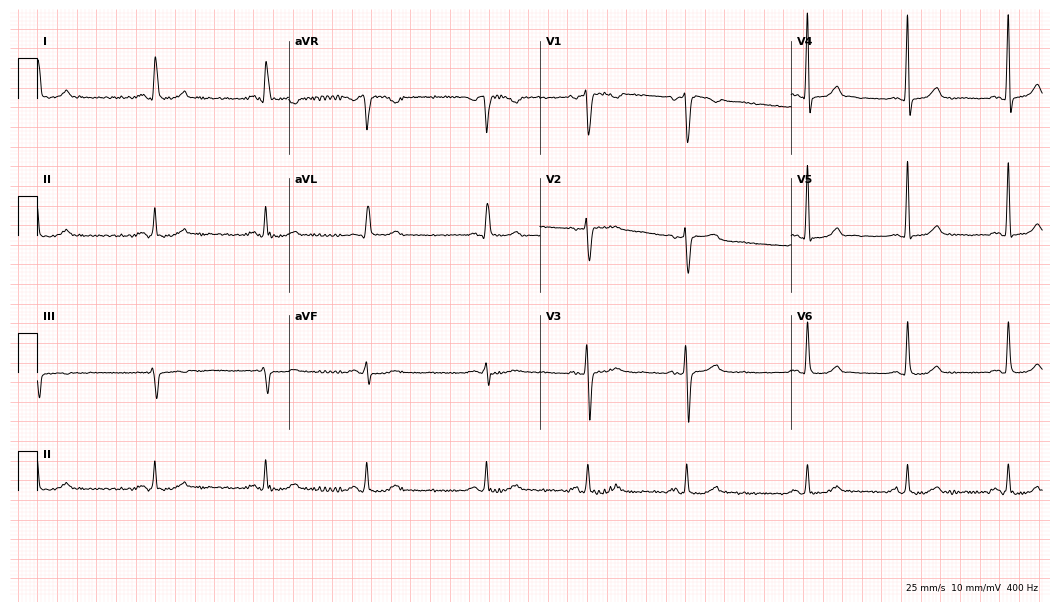
Resting 12-lead electrocardiogram. Patient: a 53-year-old female. Read as a normal ECG.